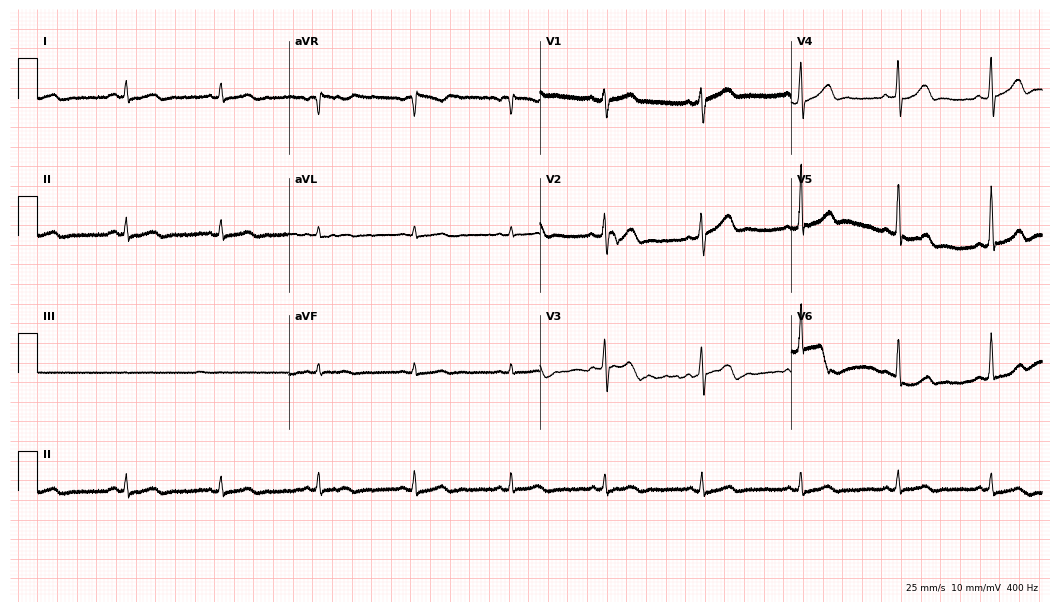
Electrocardiogram, a female patient, 53 years old. Of the six screened findings (first-degree AV block, right bundle branch block, left bundle branch block, sinus bradycardia, atrial fibrillation, sinus tachycardia), none is recorded. Other findings, if any, are not listed.